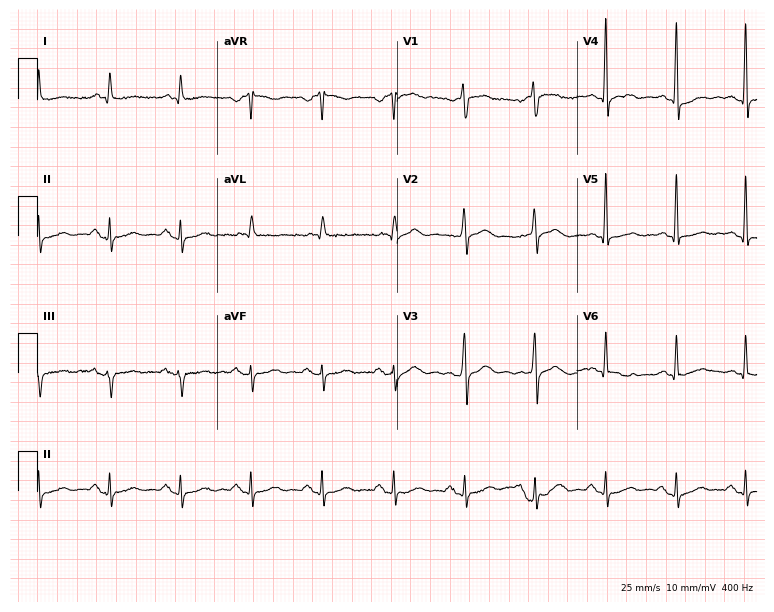
Standard 12-lead ECG recorded from a male, 63 years old (7.3-second recording at 400 Hz). Read as a normal ECG.